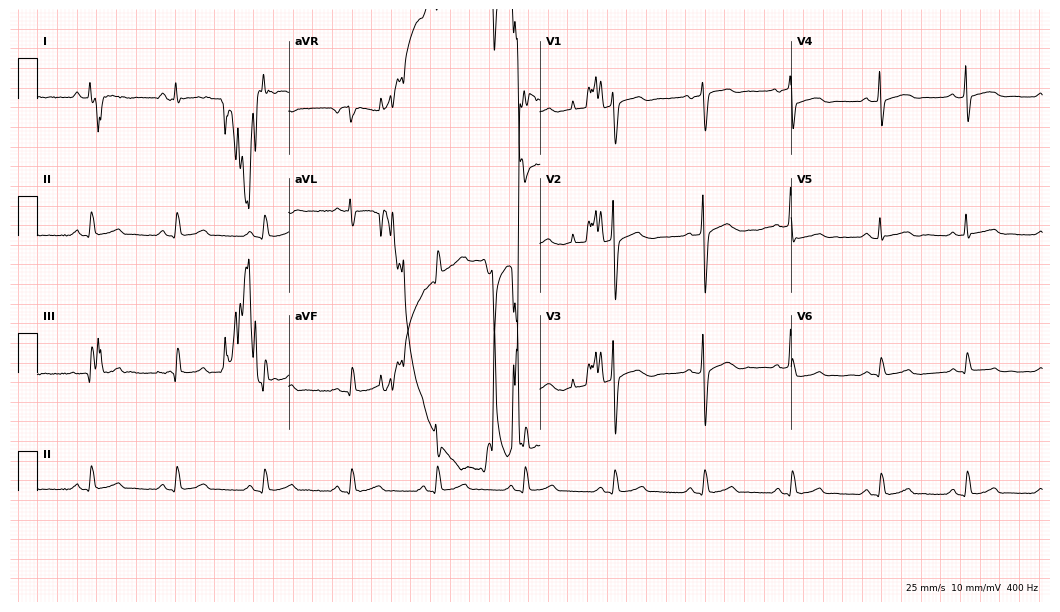
12-lead ECG from a man, 52 years old (10.2-second recording at 400 Hz). Recorded interpretation: within normal limits.